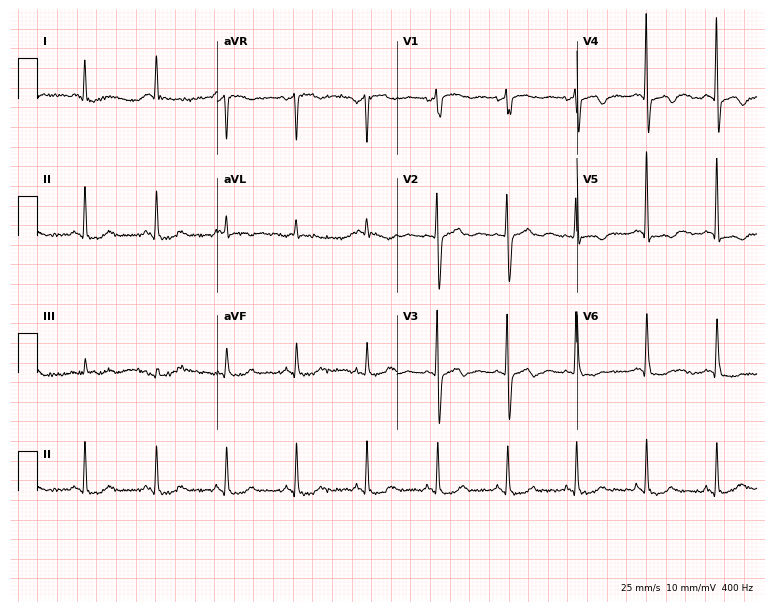
Electrocardiogram, a 61-year-old woman. Of the six screened findings (first-degree AV block, right bundle branch block, left bundle branch block, sinus bradycardia, atrial fibrillation, sinus tachycardia), none is recorded.